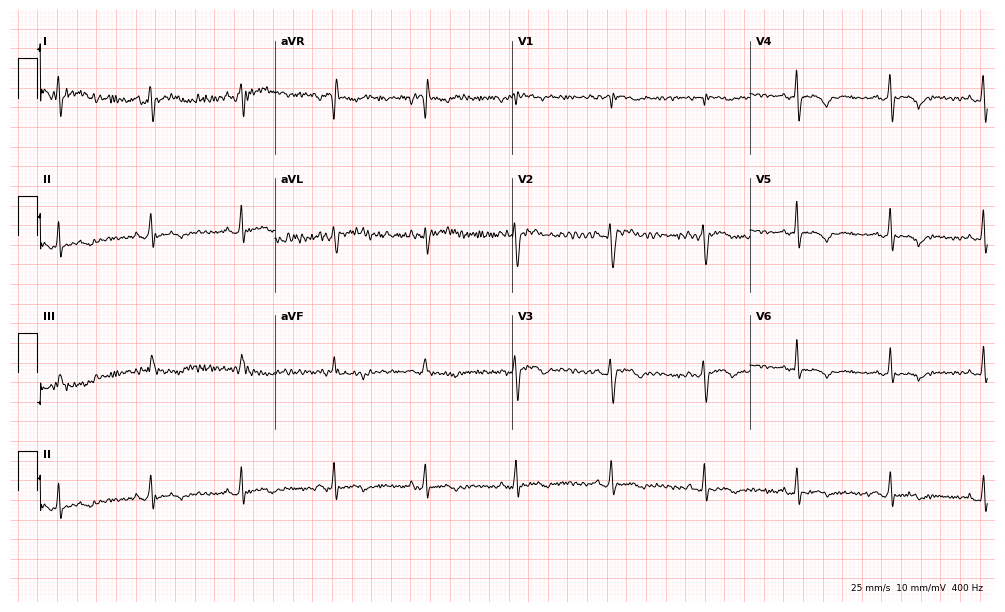
12-lead ECG (9.7-second recording at 400 Hz) from a 44-year-old woman. Screened for six findings — first-degree AV block, right bundle branch block, left bundle branch block, sinus bradycardia, atrial fibrillation, sinus tachycardia — none is recorded.